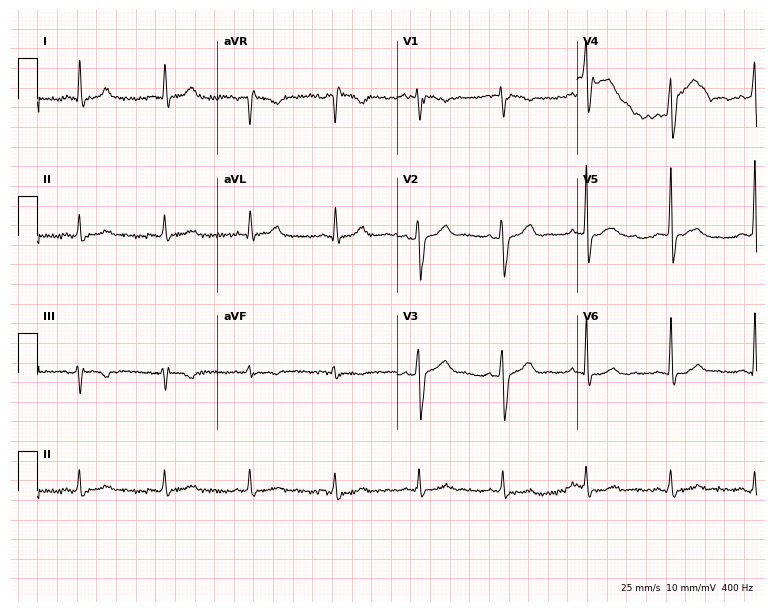
12-lead ECG from a man, 48 years old. Screened for six findings — first-degree AV block, right bundle branch block, left bundle branch block, sinus bradycardia, atrial fibrillation, sinus tachycardia — none is recorded. Other findings, if any, are not listed.